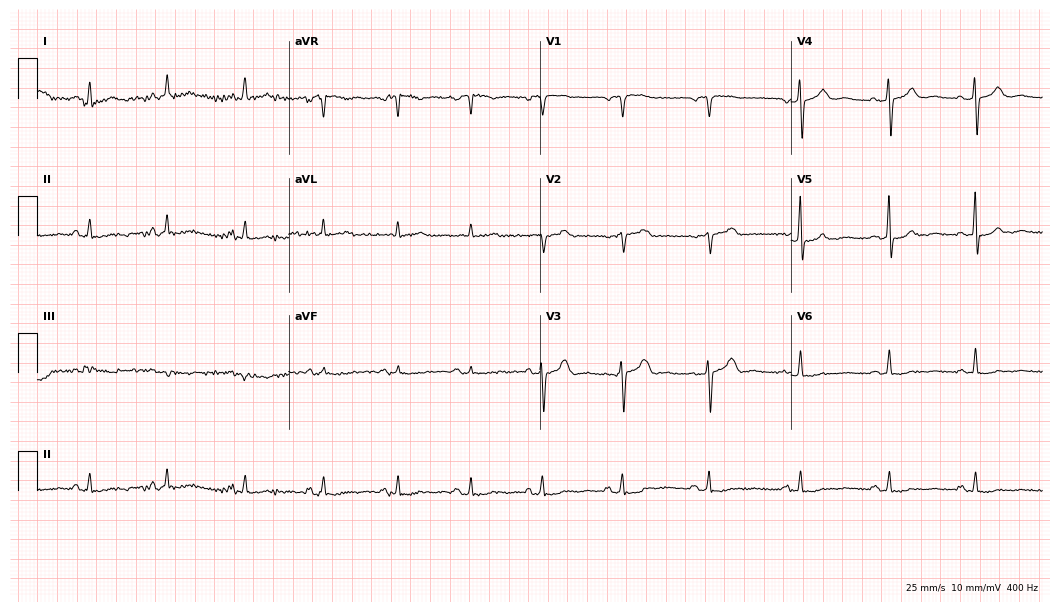
Standard 12-lead ECG recorded from a 61-year-old female patient (10.2-second recording at 400 Hz). Read as a normal ECG.